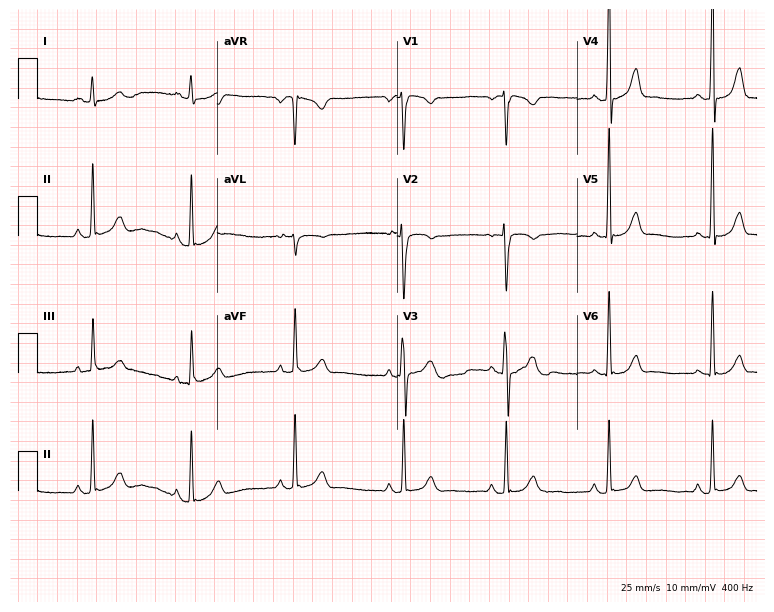
12-lead ECG (7.3-second recording at 400 Hz) from a 20-year-old male. Labelled as a normal ECG.